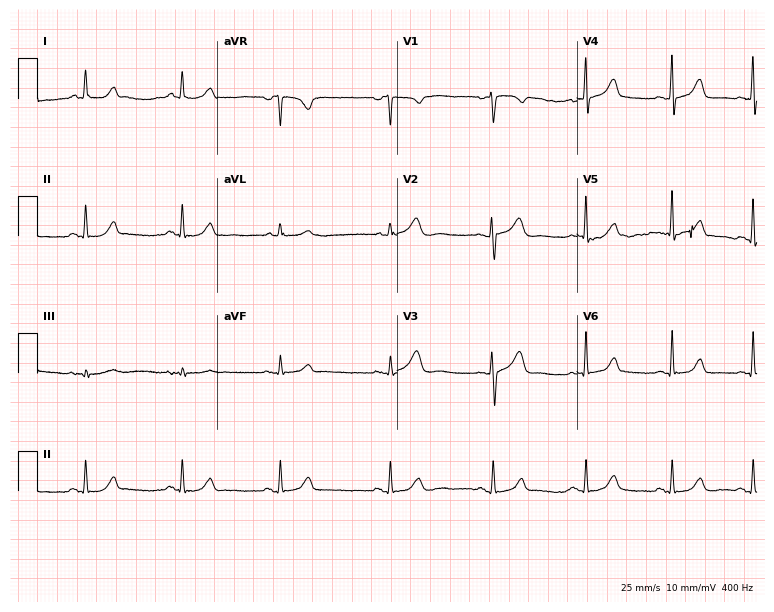
12-lead ECG from a 41-year-old female (7.3-second recording at 400 Hz). Recorded interpretation: within normal limits.